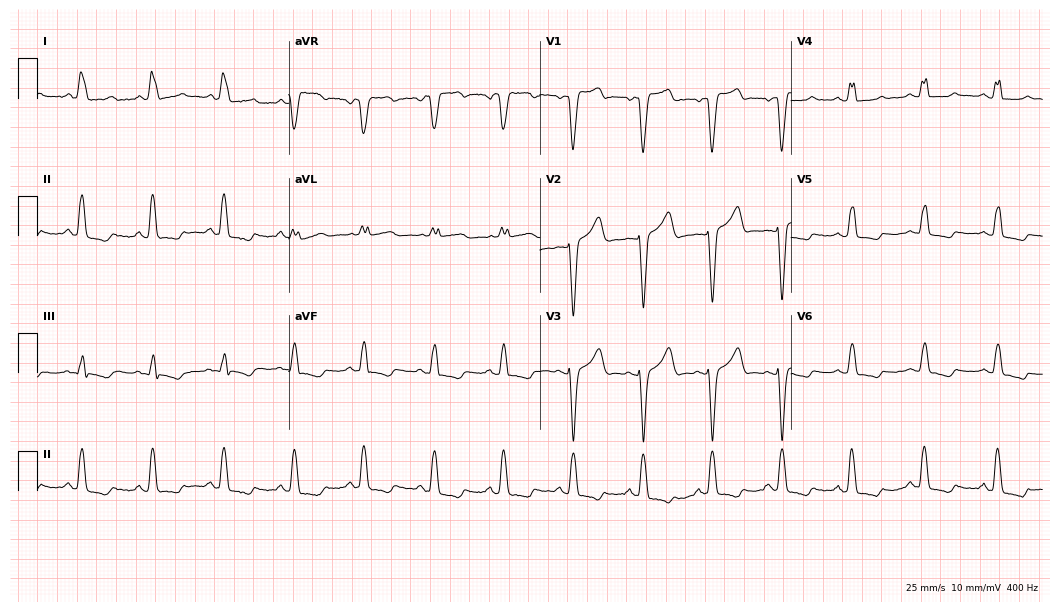
12-lead ECG (10.2-second recording at 400 Hz) from a 59-year-old woman. Findings include left bundle branch block (LBBB).